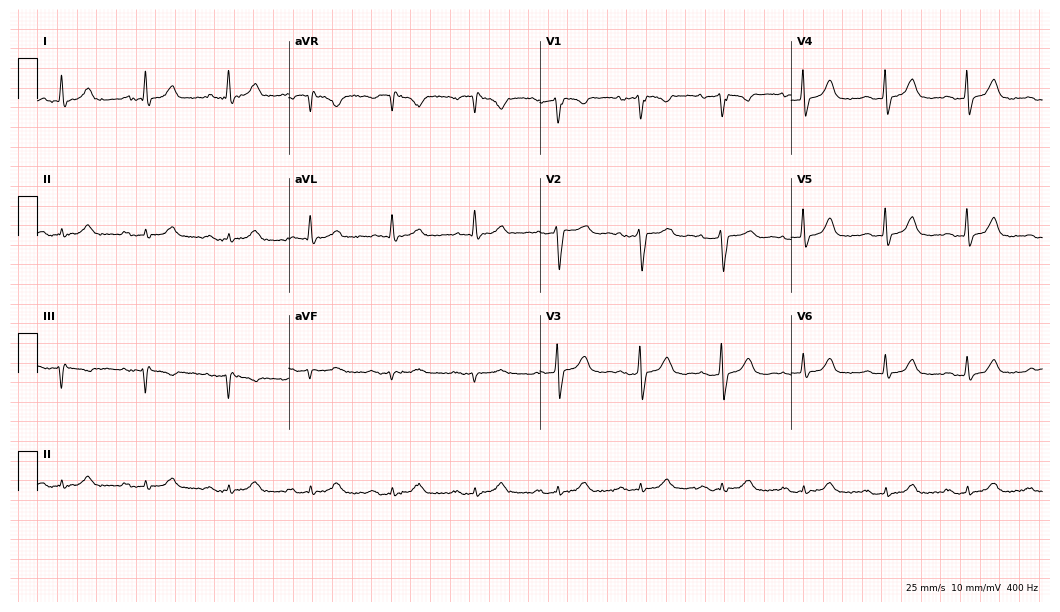
Resting 12-lead electrocardiogram. Patient: a female, 75 years old. Read as a normal ECG.